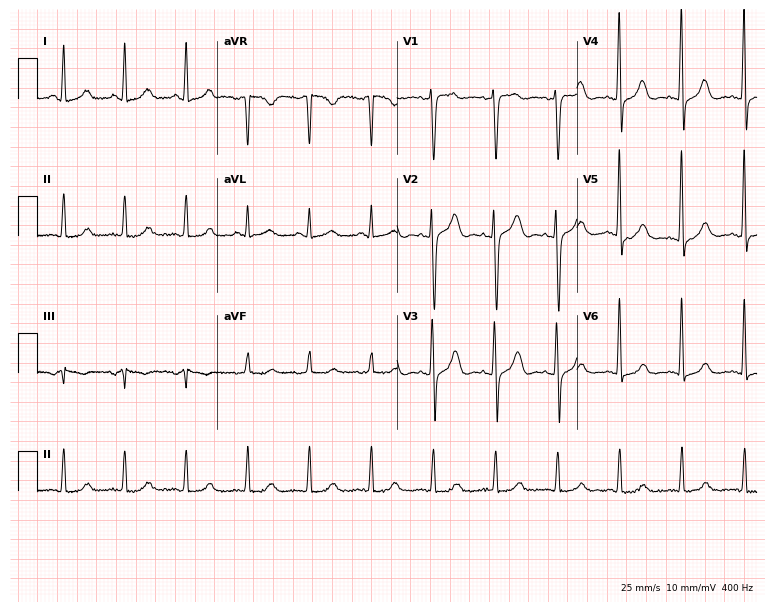
ECG — a 43-year-old female patient. Labelled as a normal ECG.